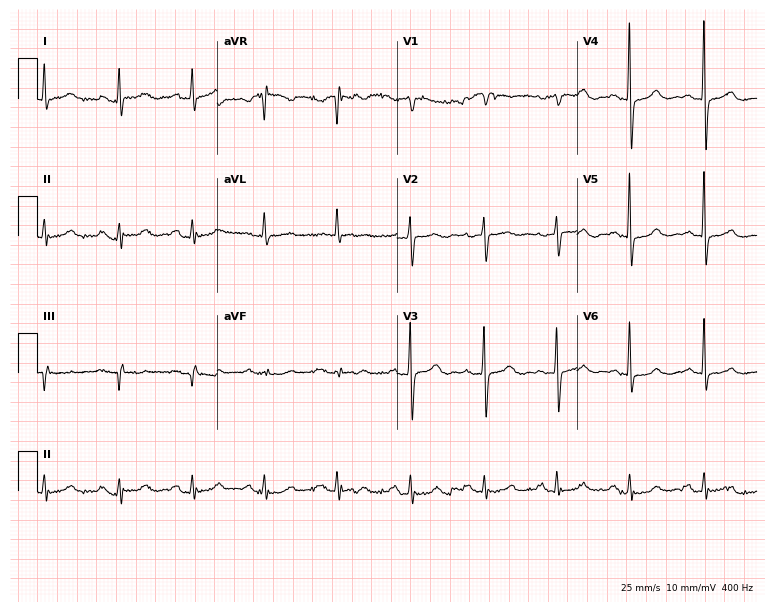
Electrocardiogram, a female patient, 67 years old. Overall reading on record: normal ECG.